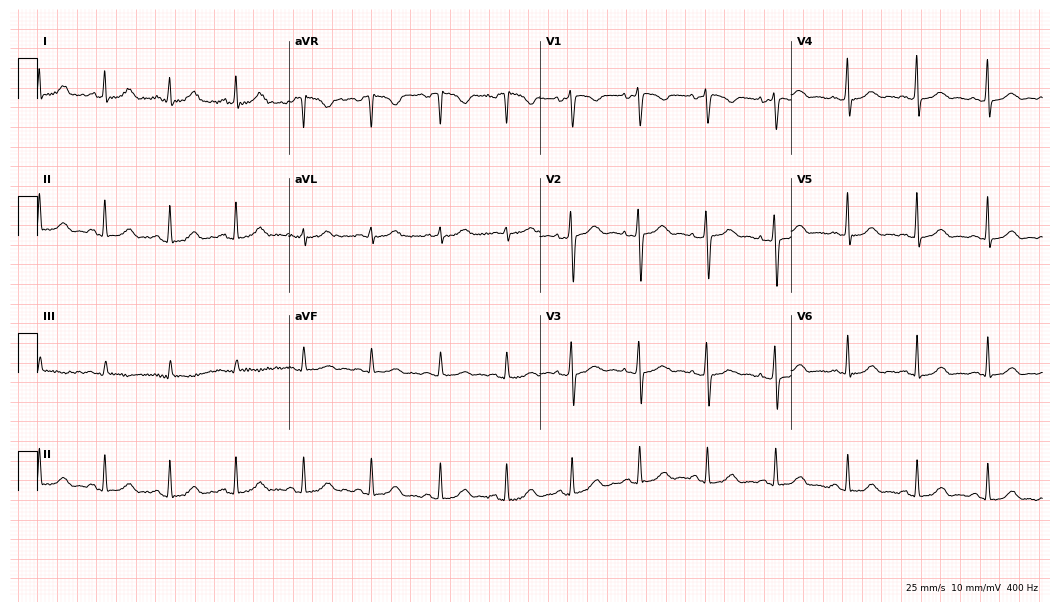
12-lead ECG from a woman, 30 years old (10.2-second recording at 400 Hz). No first-degree AV block, right bundle branch block, left bundle branch block, sinus bradycardia, atrial fibrillation or sinus tachycardia recorded for this tracing.